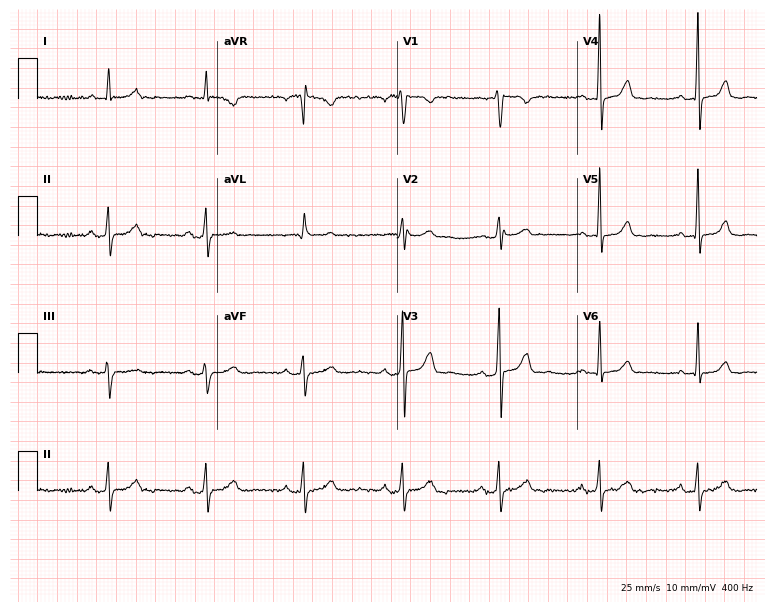
Standard 12-lead ECG recorded from a female, 55 years old (7.3-second recording at 400 Hz). Read as a normal ECG.